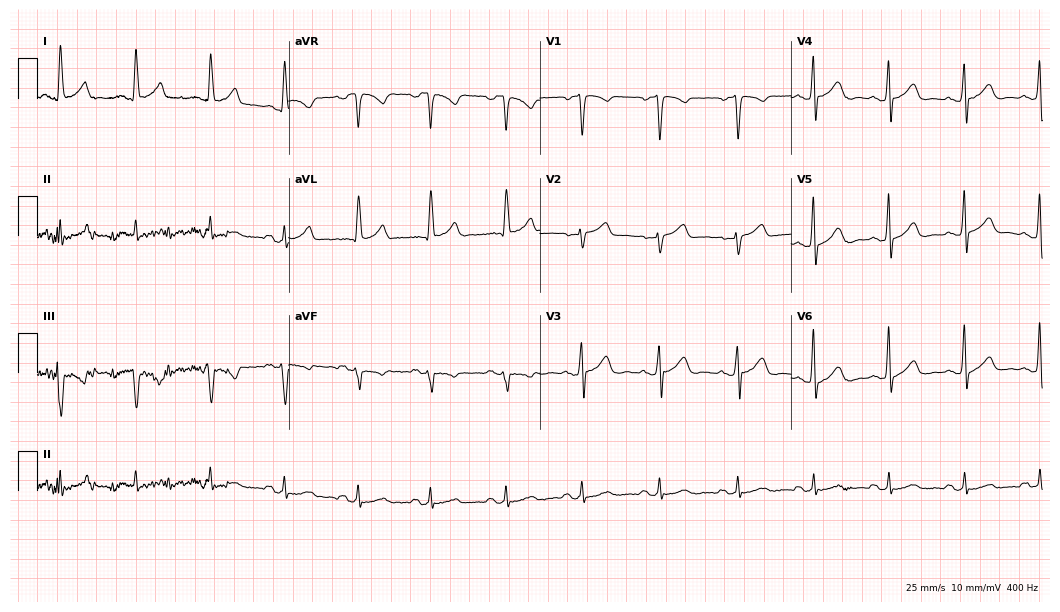
12-lead ECG (10.2-second recording at 400 Hz) from a man, 35 years old. Labelled as a normal ECG.